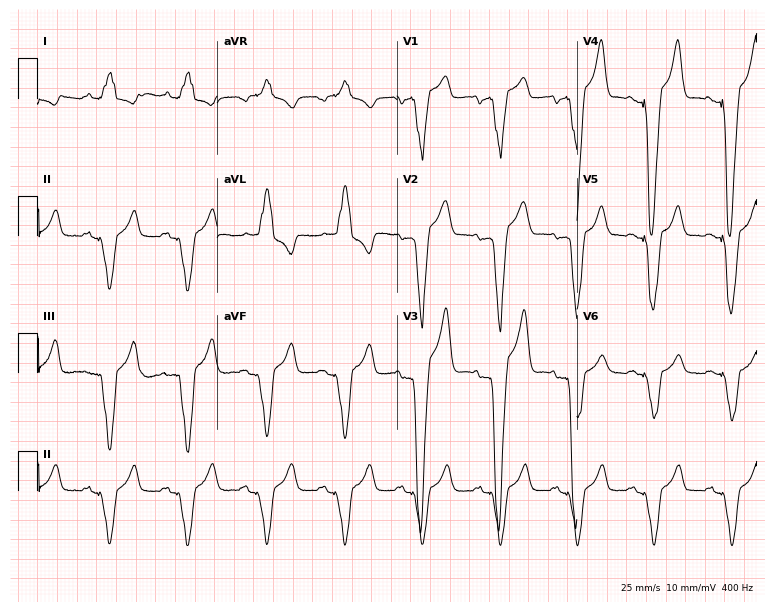
Electrocardiogram, a 72-year-old female patient. Interpretation includes left bundle branch block (LBBB).